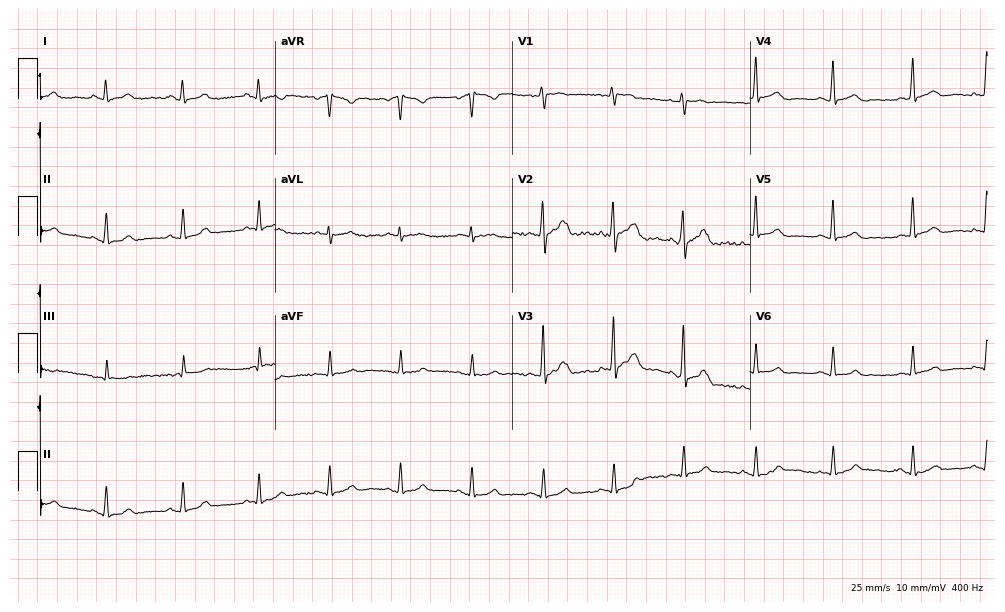
12-lead ECG from a female, 29 years old. Recorded interpretation: within normal limits.